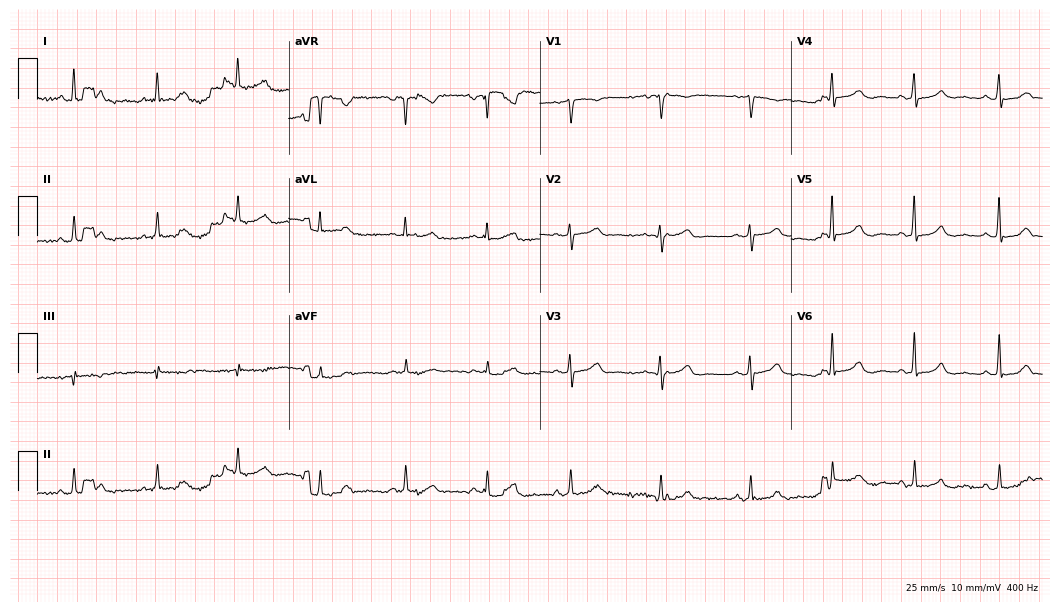
Electrocardiogram, a woman, 46 years old. Of the six screened findings (first-degree AV block, right bundle branch block, left bundle branch block, sinus bradycardia, atrial fibrillation, sinus tachycardia), none is recorded. Only these six findings were labelled.